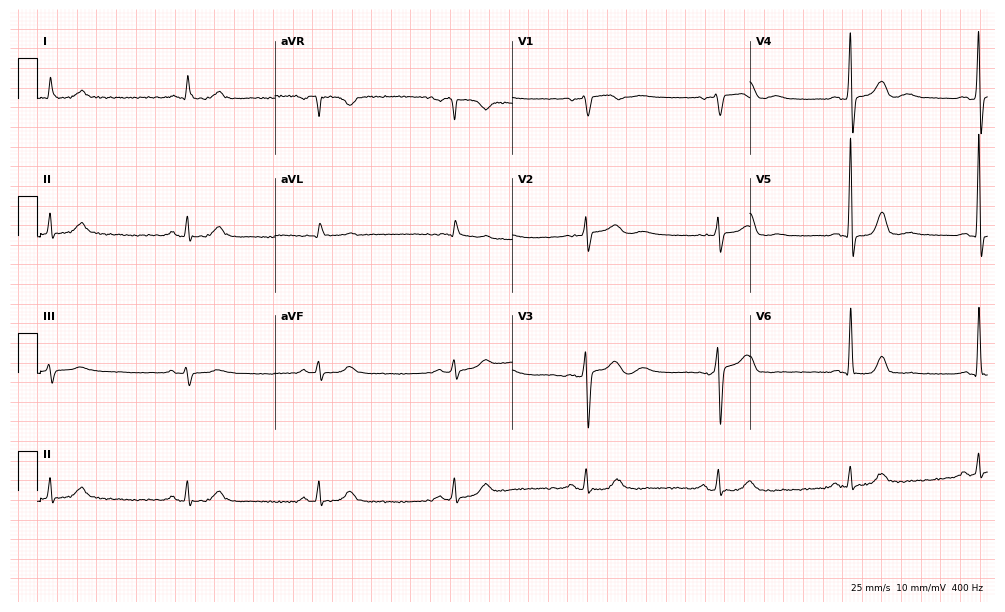
Resting 12-lead electrocardiogram. Patient: a 73-year-old male. The tracing shows sinus bradycardia (a sinus rate of 50 beats per minute or less).